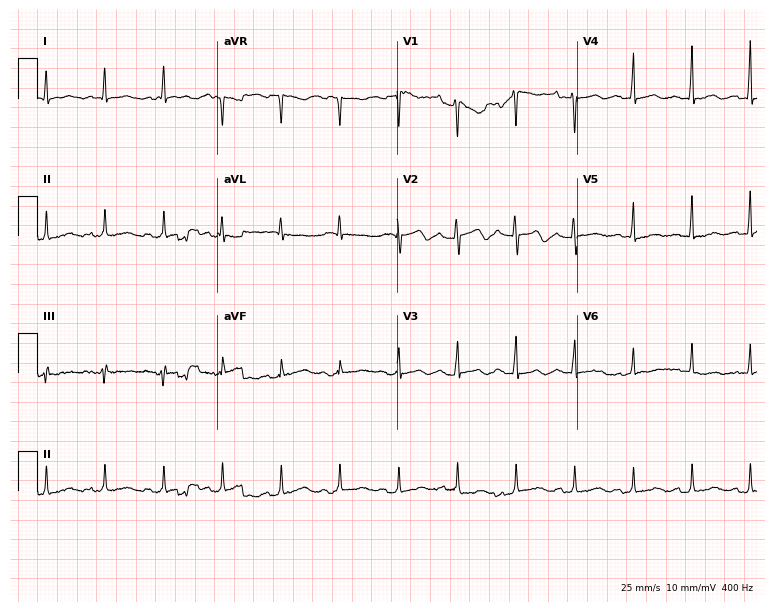
Standard 12-lead ECG recorded from a male patient, 73 years old (7.3-second recording at 400 Hz). The tracing shows sinus tachycardia (a sinus rate of 100 beats per minute or more).